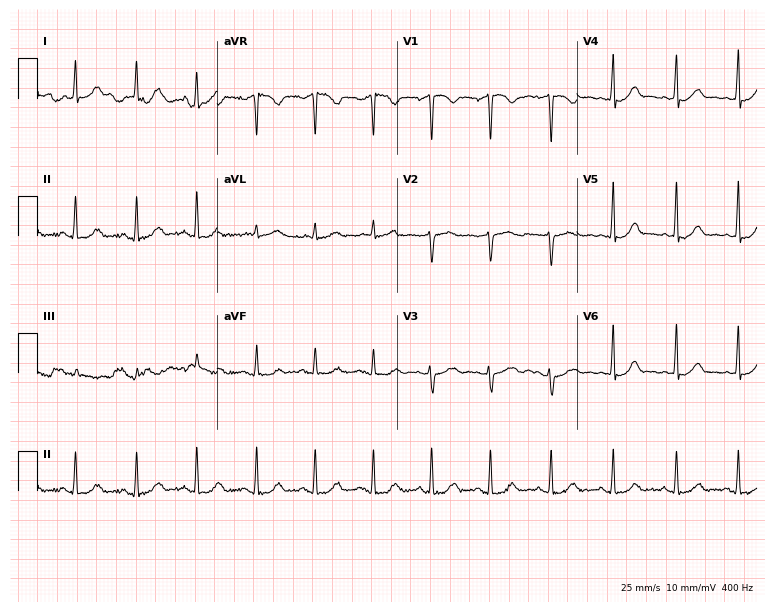
12-lead ECG from a 42-year-old female patient. Screened for six findings — first-degree AV block, right bundle branch block, left bundle branch block, sinus bradycardia, atrial fibrillation, sinus tachycardia — none is recorded.